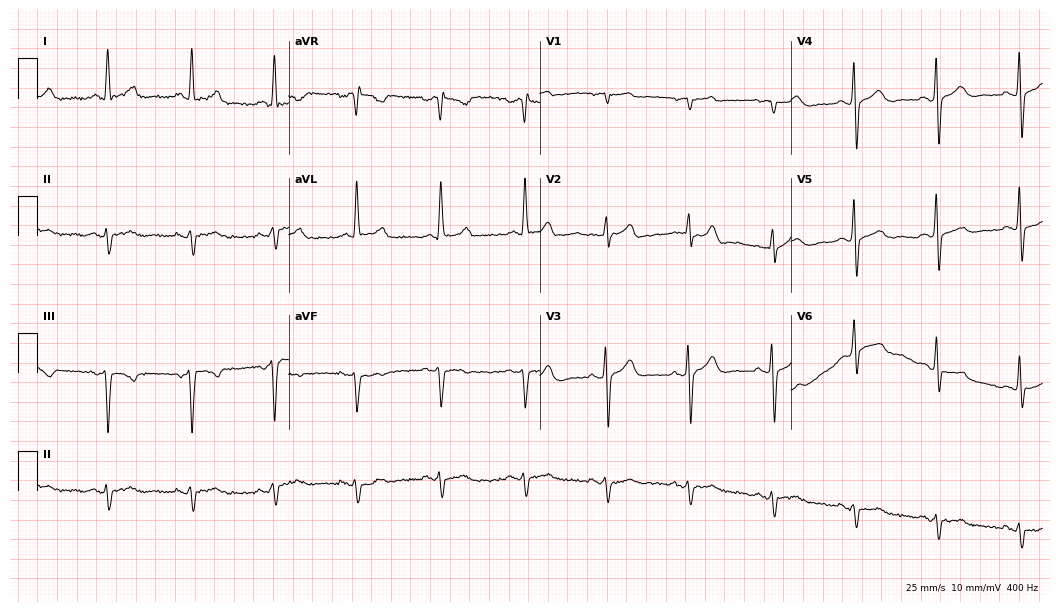
Standard 12-lead ECG recorded from a male patient, 76 years old (10.2-second recording at 400 Hz). None of these six findings is recorded: first-degree AV block, right bundle branch block, left bundle branch block, sinus bradycardia, atrial fibrillation, sinus tachycardia.